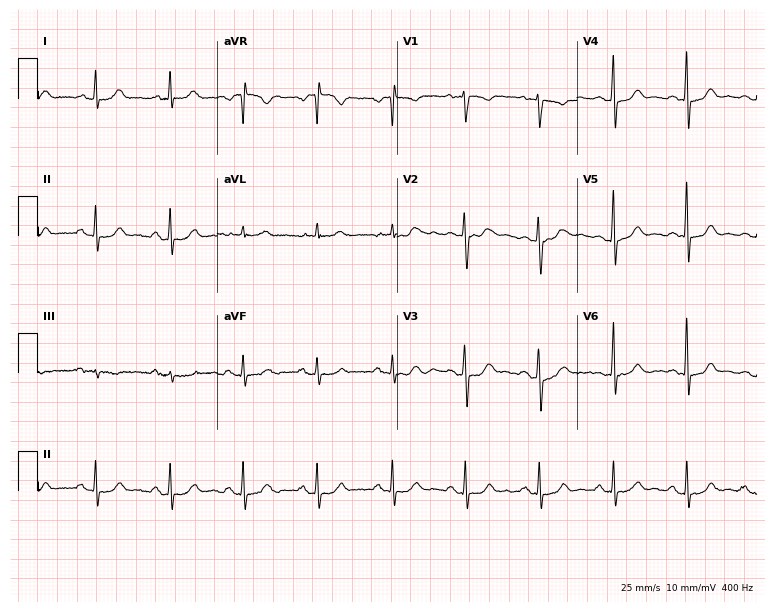
Electrocardiogram (7.3-second recording at 400 Hz), a woman, 49 years old. Of the six screened findings (first-degree AV block, right bundle branch block (RBBB), left bundle branch block (LBBB), sinus bradycardia, atrial fibrillation (AF), sinus tachycardia), none is recorded. Findings outside these six are not listed.